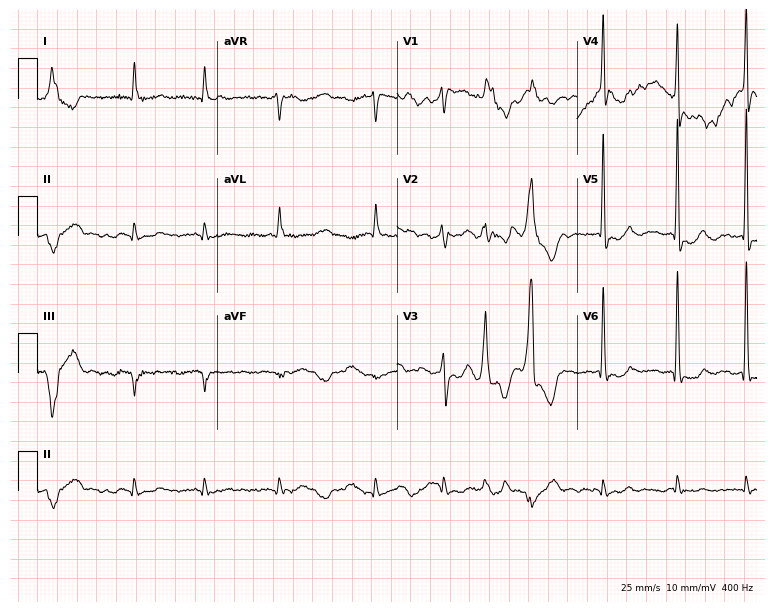
Electrocardiogram, a 79-year-old man. Interpretation includes first-degree AV block, atrial fibrillation (AF).